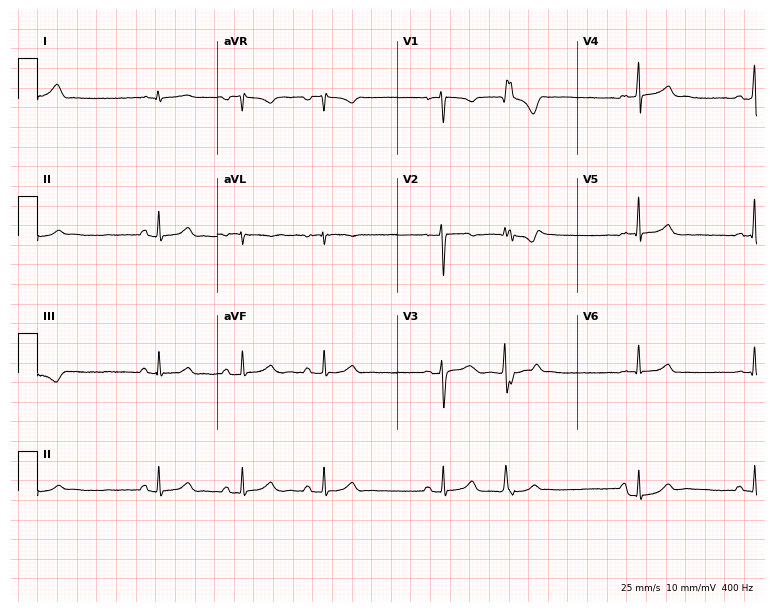
Electrocardiogram, a female patient, 35 years old. Overall reading on record: normal ECG.